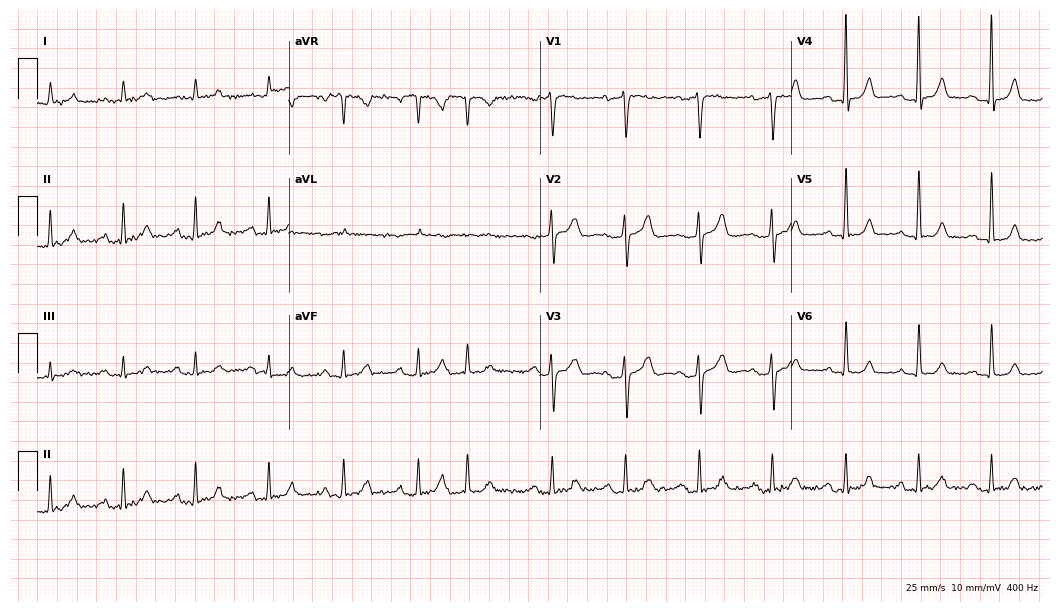
ECG (10.2-second recording at 400 Hz) — a 60-year-old male patient. Screened for six findings — first-degree AV block, right bundle branch block, left bundle branch block, sinus bradycardia, atrial fibrillation, sinus tachycardia — none is recorded. Other findings, if any, are not listed.